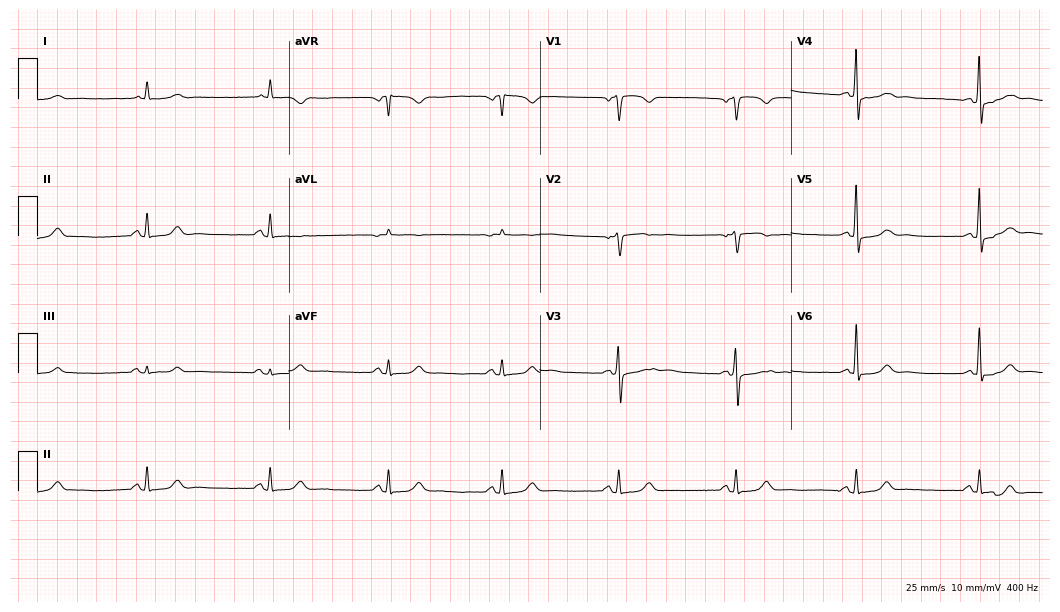
Standard 12-lead ECG recorded from a woman, 73 years old (10.2-second recording at 400 Hz). Read as a normal ECG.